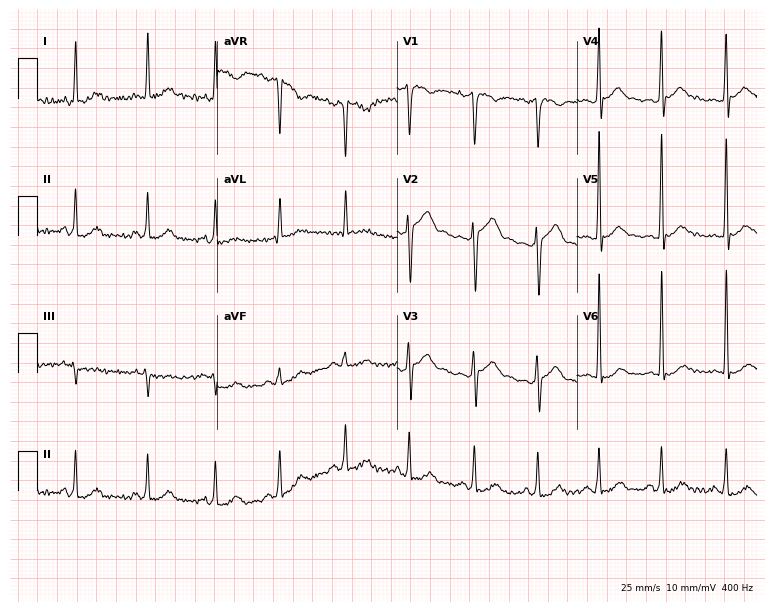
Electrocardiogram, a male patient, 40 years old. Of the six screened findings (first-degree AV block, right bundle branch block (RBBB), left bundle branch block (LBBB), sinus bradycardia, atrial fibrillation (AF), sinus tachycardia), none is recorded.